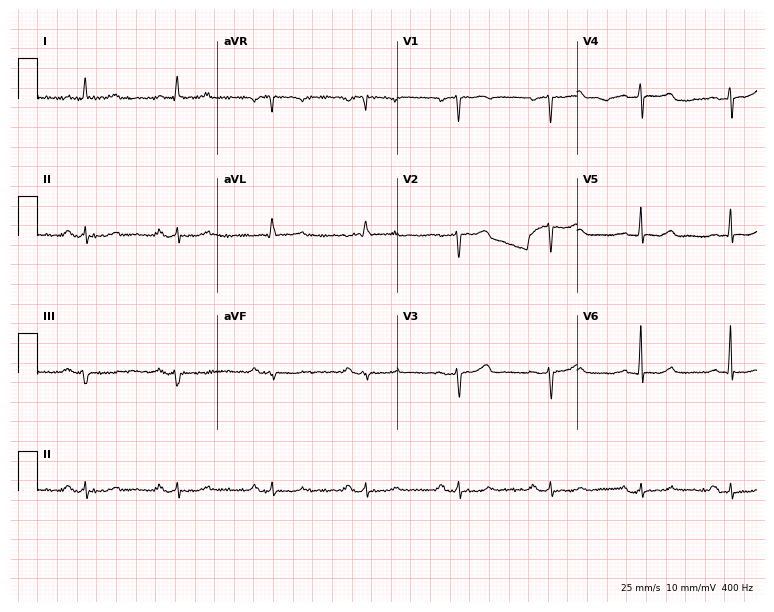
12-lead ECG (7.3-second recording at 400 Hz) from a 58-year-old female patient. Screened for six findings — first-degree AV block, right bundle branch block, left bundle branch block, sinus bradycardia, atrial fibrillation, sinus tachycardia — none is recorded. Other findings, if any, are not listed.